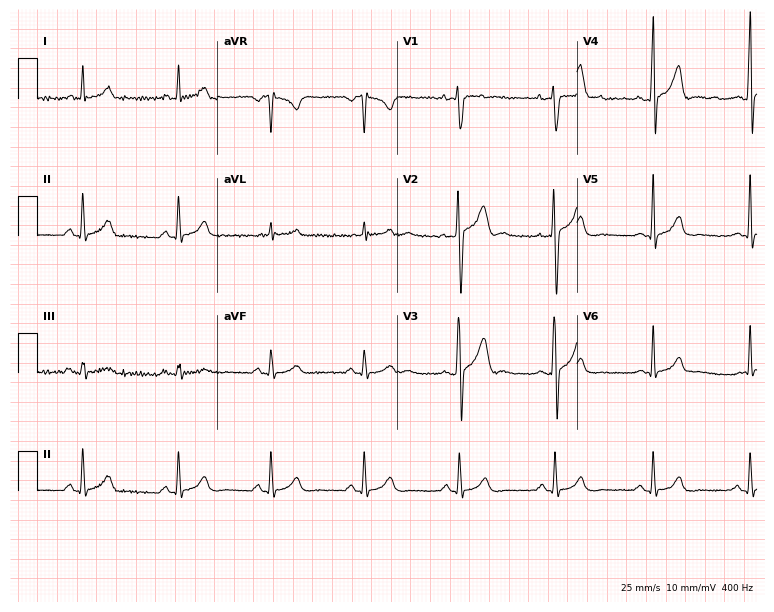
Resting 12-lead electrocardiogram (7.3-second recording at 400 Hz). Patient: a male, 24 years old. Read as a normal ECG.